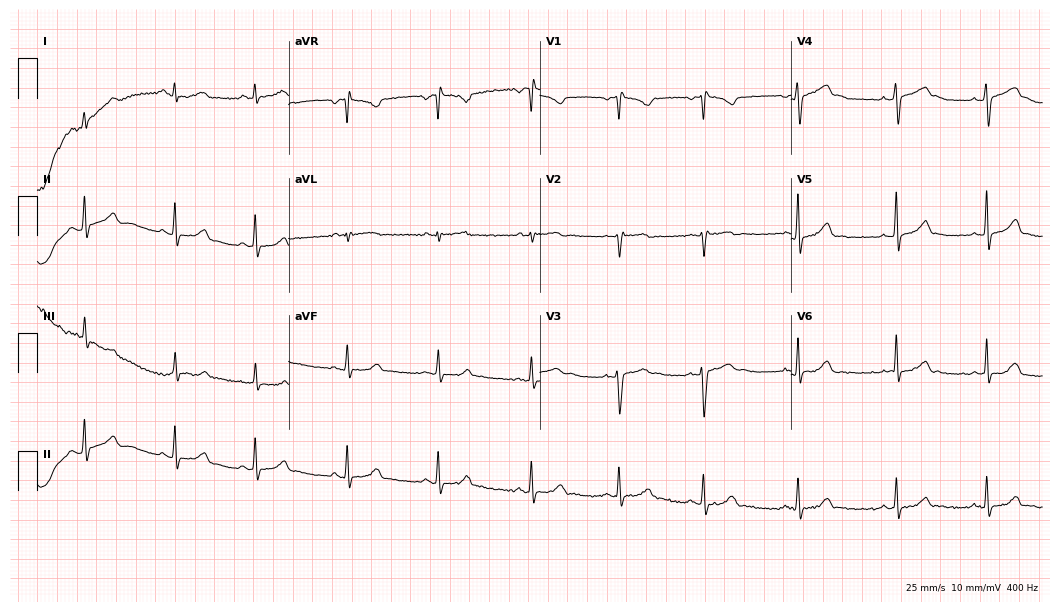
Standard 12-lead ECG recorded from a 29-year-old female (10.2-second recording at 400 Hz). Read as a normal ECG.